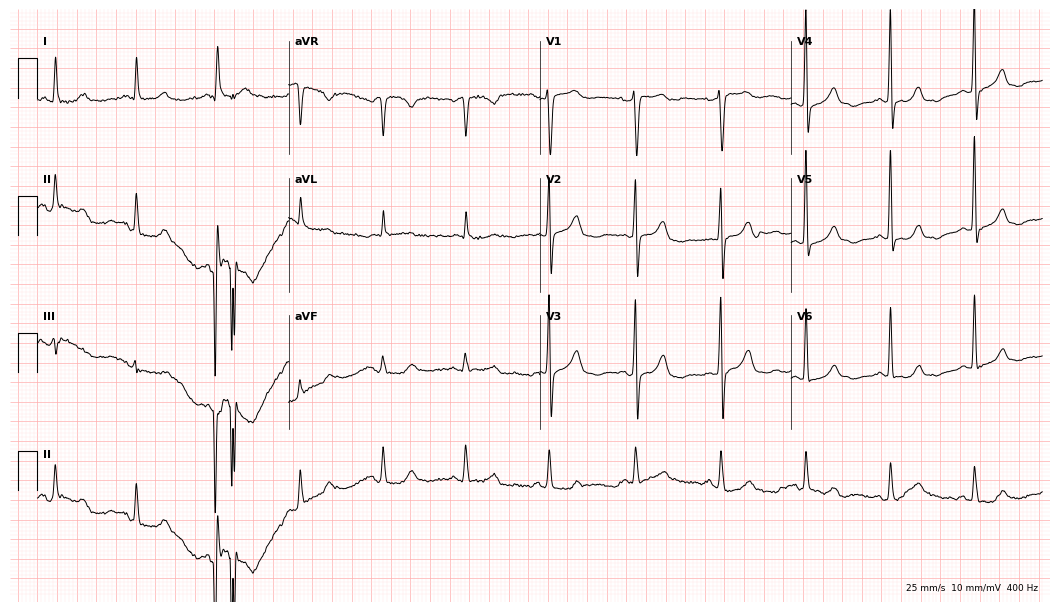
Standard 12-lead ECG recorded from a female patient, 79 years old. None of these six findings is recorded: first-degree AV block, right bundle branch block, left bundle branch block, sinus bradycardia, atrial fibrillation, sinus tachycardia. Only these six findings were labelled.